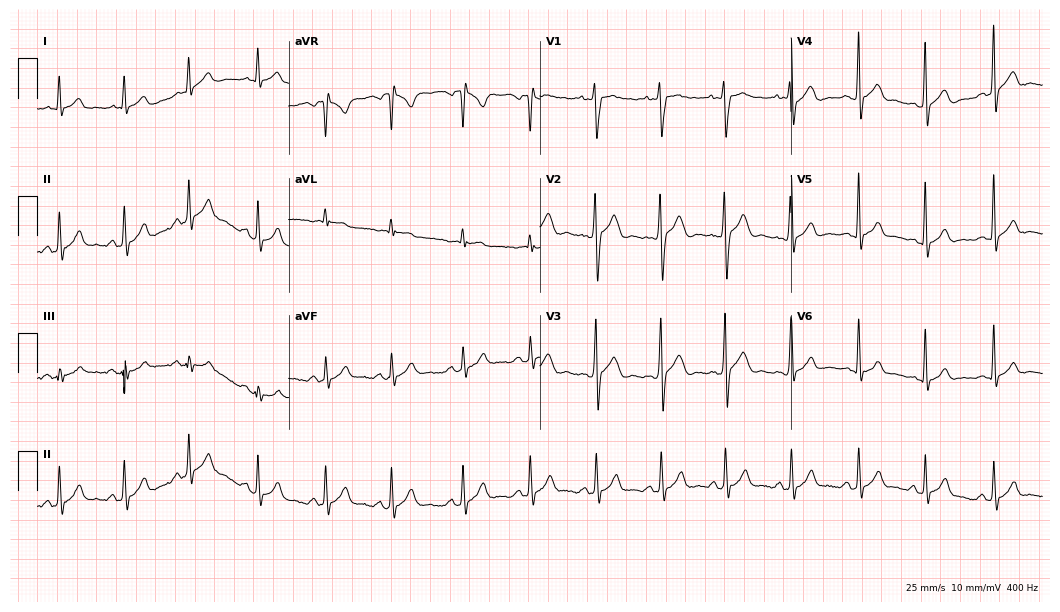
Standard 12-lead ECG recorded from a male patient, 28 years old (10.2-second recording at 400 Hz). None of these six findings is recorded: first-degree AV block, right bundle branch block, left bundle branch block, sinus bradycardia, atrial fibrillation, sinus tachycardia. Only these six findings were labelled.